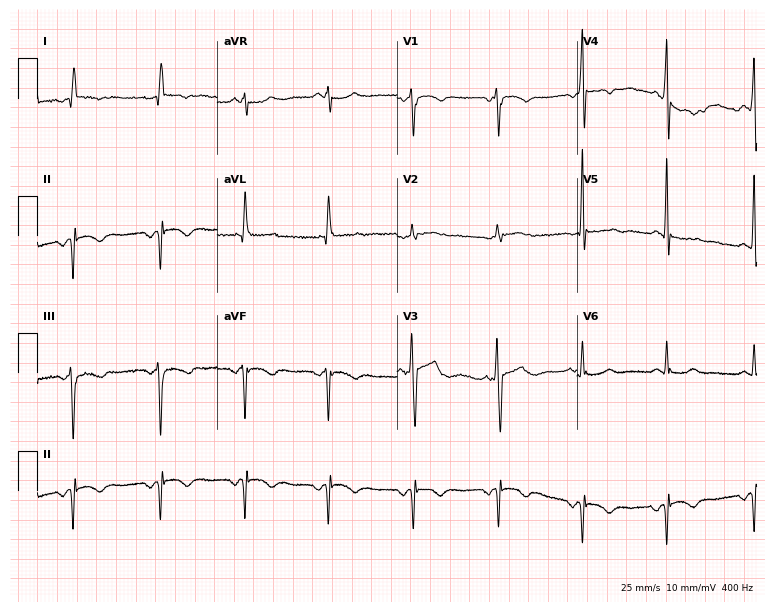
Resting 12-lead electrocardiogram (7.3-second recording at 400 Hz). Patient: a female, 63 years old. None of these six findings is recorded: first-degree AV block, right bundle branch block, left bundle branch block, sinus bradycardia, atrial fibrillation, sinus tachycardia. Other findings, if any, are not listed.